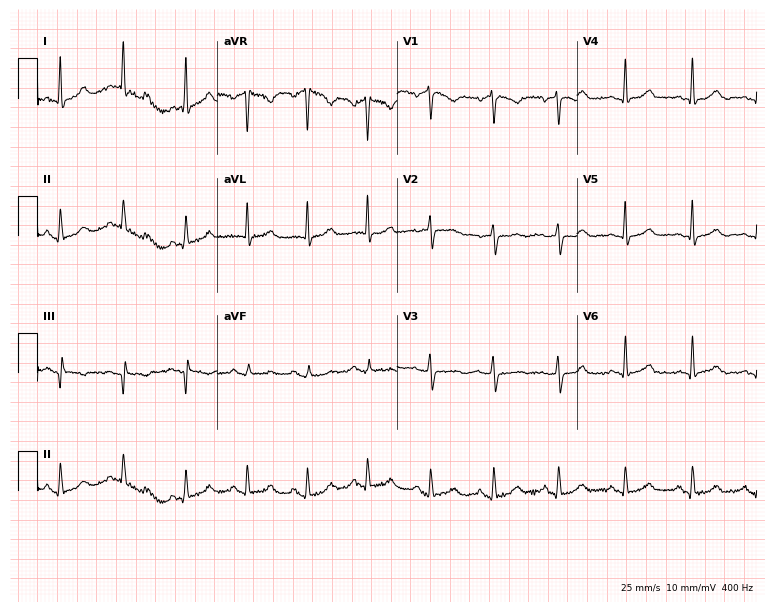
12-lead ECG from a 66-year-old female. Recorded interpretation: within normal limits.